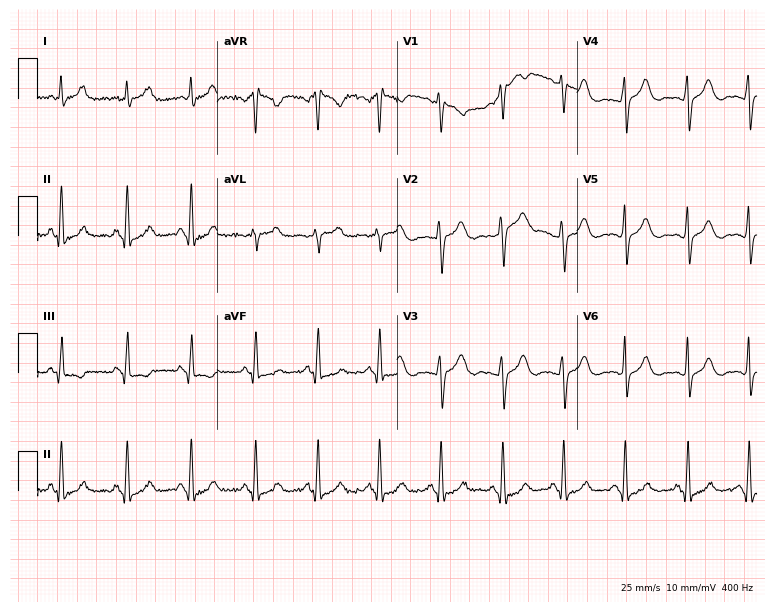
Electrocardiogram (7.3-second recording at 400 Hz), a female patient, 43 years old. Of the six screened findings (first-degree AV block, right bundle branch block (RBBB), left bundle branch block (LBBB), sinus bradycardia, atrial fibrillation (AF), sinus tachycardia), none is recorded.